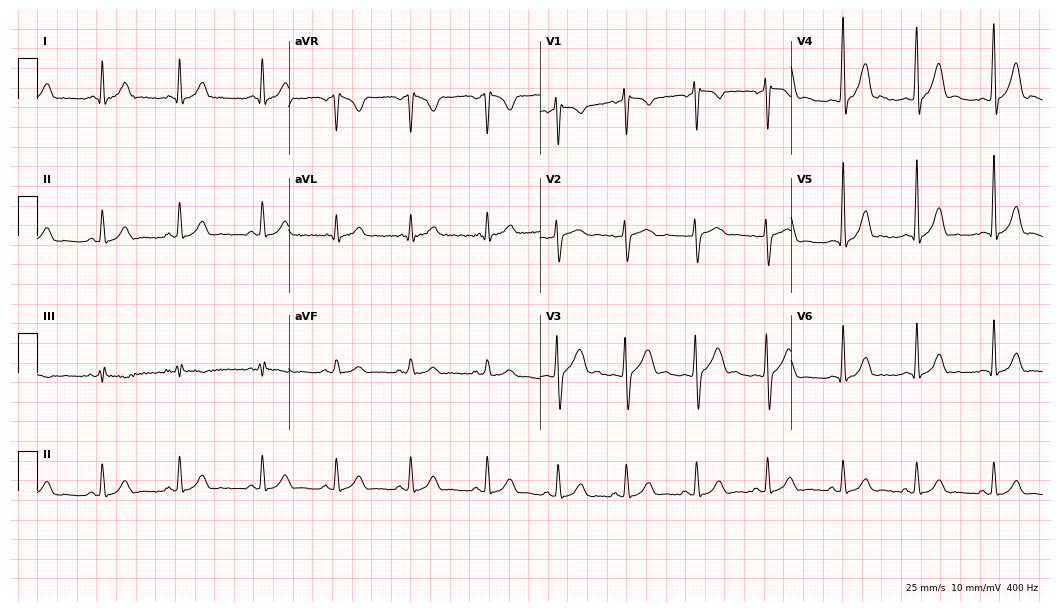
ECG — a 27-year-old male patient. Labelled as a normal ECG.